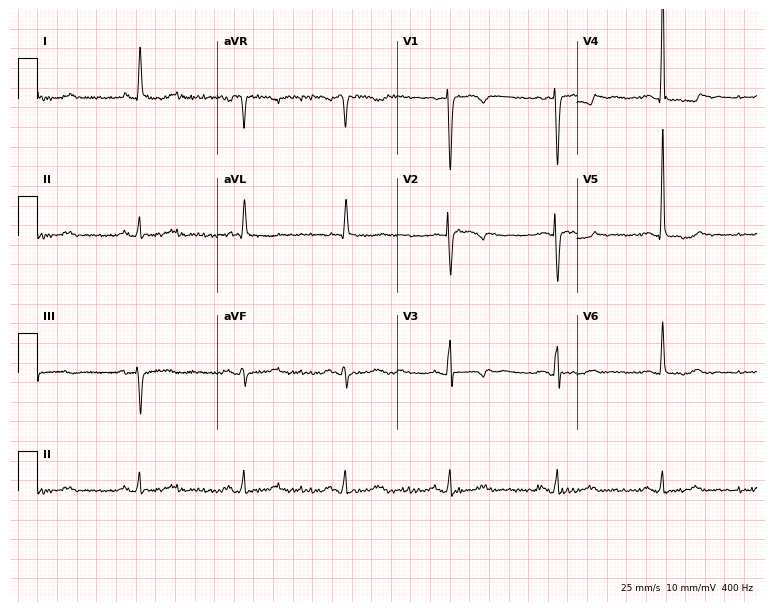
ECG — a 64-year-old female patient. Screened for six findings — first-degree AV block, right bundle branch block (RBBB), left bundle branch block (LBBB), sinus bradycardia, atrial fibrillation (AF), sinus tachycardia — none is recorded. Only these six findings were labelled.